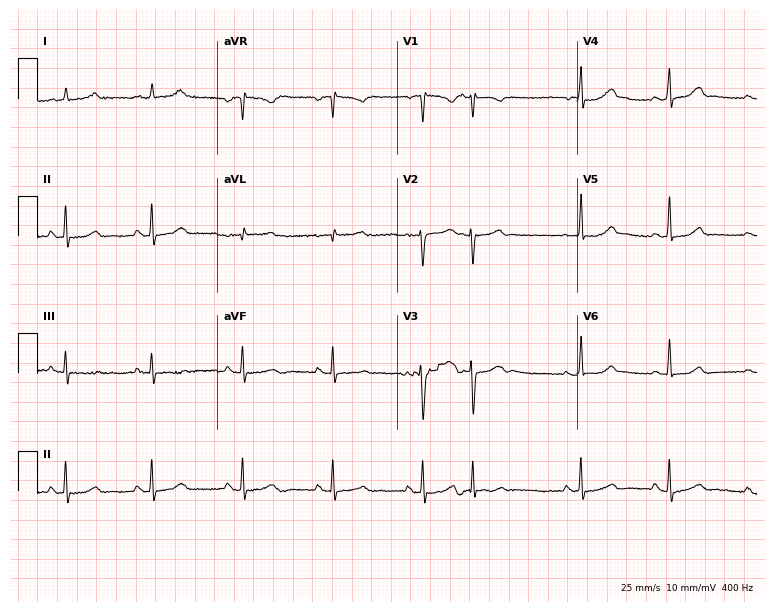
12-lead ECG from a 28-year-old female patient (7.3-second recording at 400 Hz). Recorded interpretation: within normal limits.